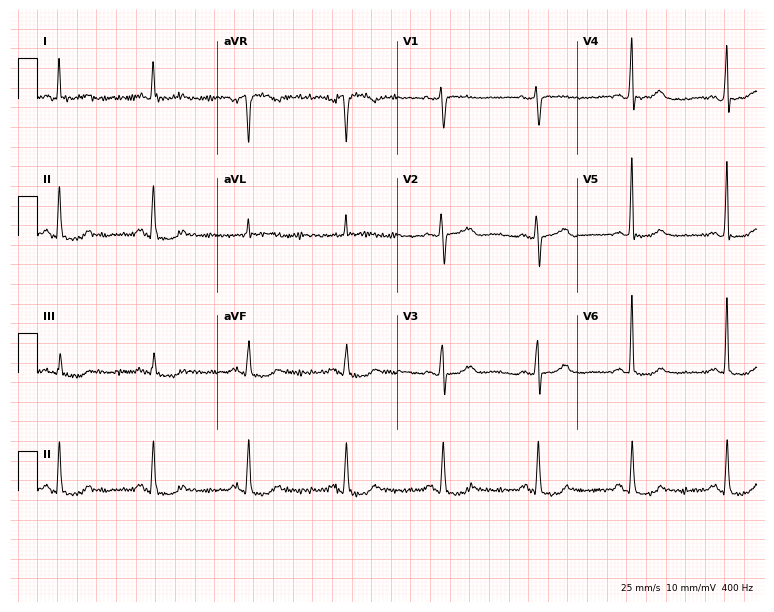
ECG — a female patient, 64 years old. Labelled as a normal ECG.